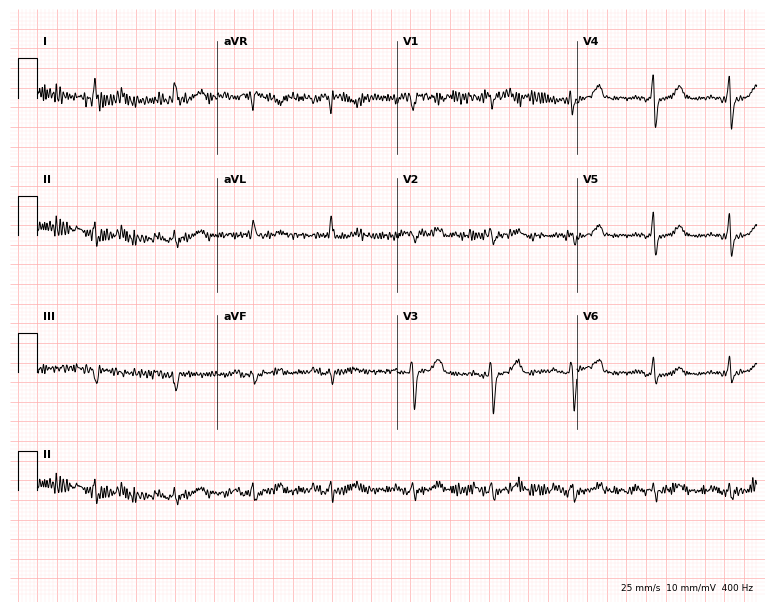
ECG — a 75-year-old woman. Screened for six findings — first-degree AV block, right bundle branch block, left bundle branch block, sinus bradycardia, atrial fibrillation, sinus tachycardia — none is recorded.